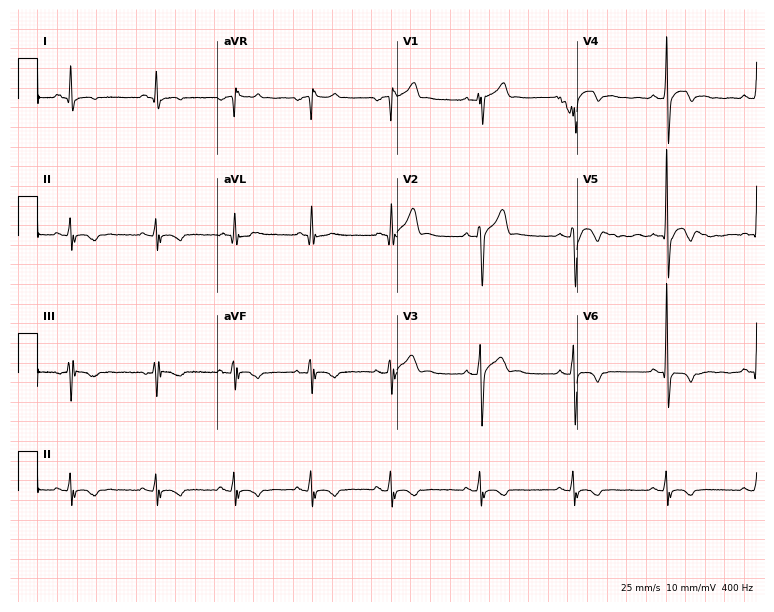
12-lead ECG from a man, 27 years old. Screened for six findings — first-degree AV block, right bundle branch block, left bundle branch block, sinus bradycardia, atrial fibrillation, sinus tachycardia — none is recorded.